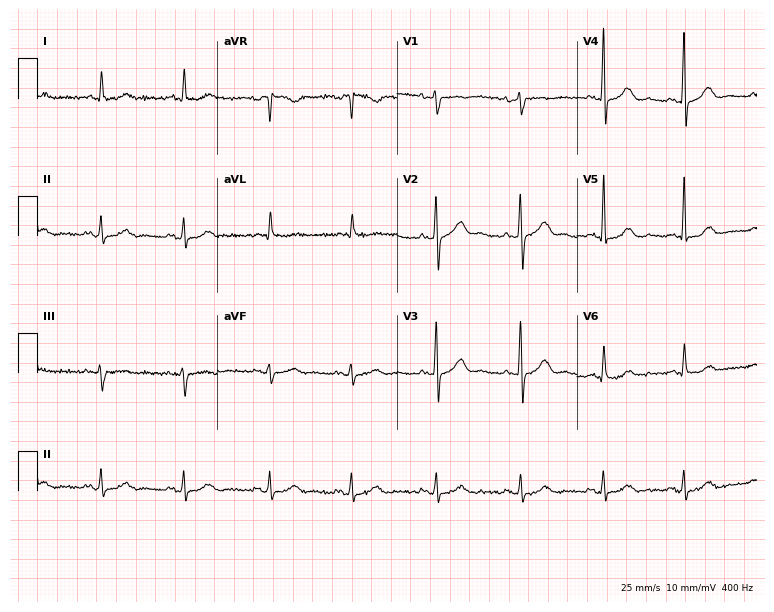
Electrocardiogram, a man, 74 years old. Overall reading on record: normal ECG.